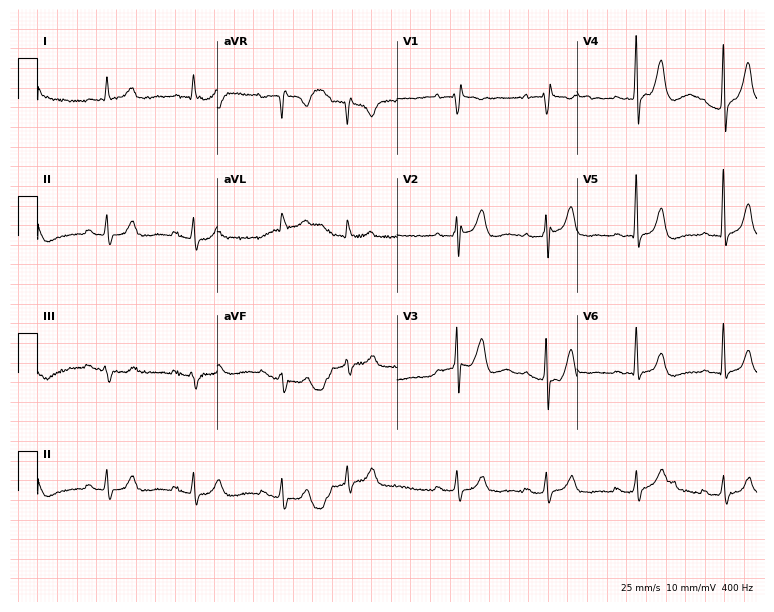
12-lead ECG from a female patient, 77 years old (7.3-second recording at 400 Hz). No first-degree AV block, right bundle branch block, left bundle branch block, sinus bradycardia, atrial fibrillation or sinus tachycardia recorded for this tracing.